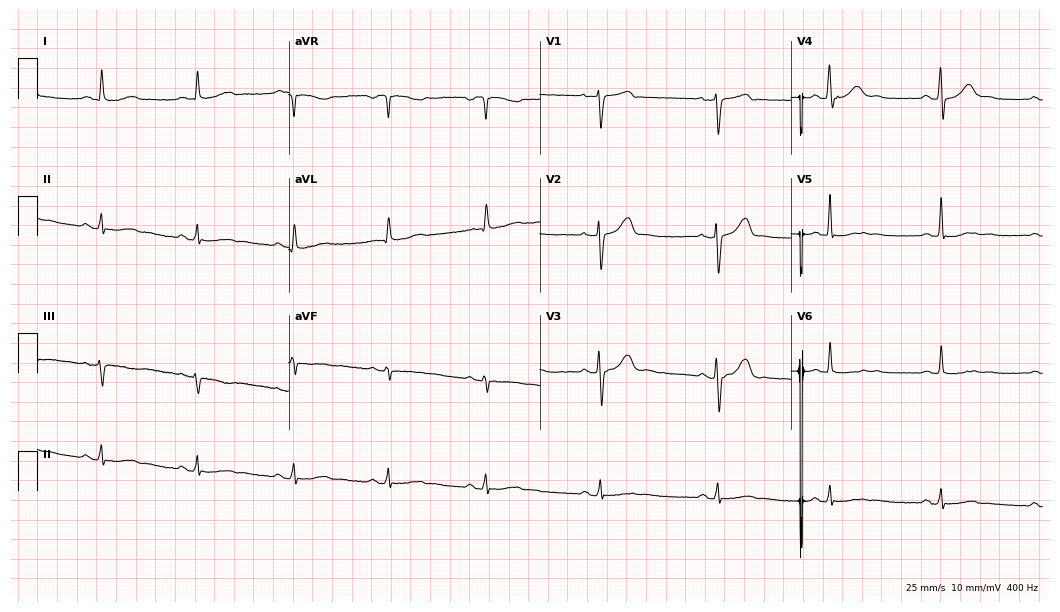
Standard 12-lead ECG recorded from an 81-year-old male. None of these six findings is recorded: first-degree AV block, right bundle branch block, left bundle branch block, sinus bradycardia, atrial fibrillation, sinus tachycardia. Only these six findings were labelled.